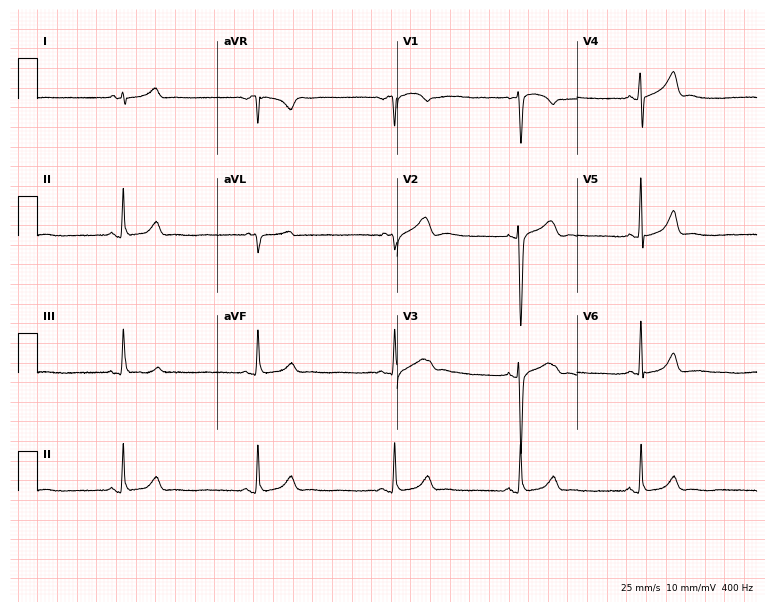
Resting 12-lead electrocardiogram. Patient: a 22-year-old female. The tracing shows sinus bradycardia (a sinus rate of 50 beats per minute or less).